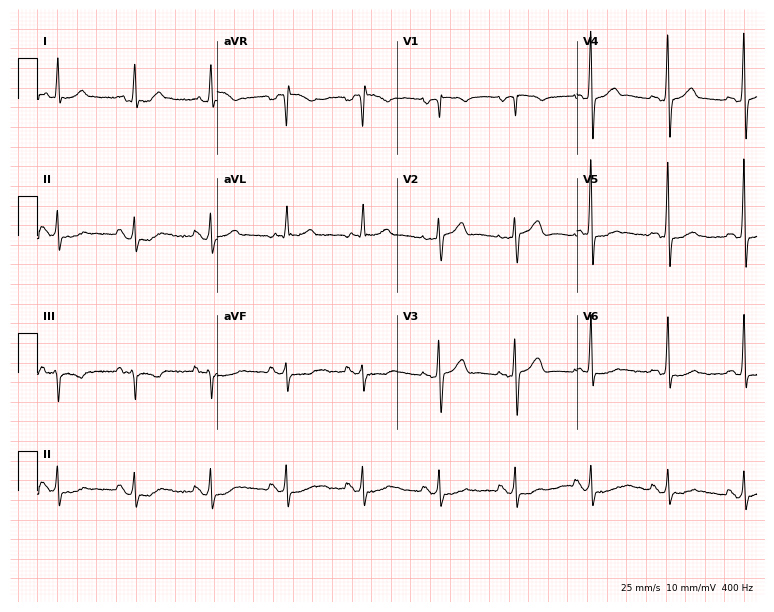
Standard 12-lead ECG recorded from a male patient, 74 years old. None of these six findings is recorded: first-degree AV block, right bundle branch block (RBBB), left bundle branch block (LBBB), sinus bradycardia, atrial fibrillation (AF), sinus tachycardia.